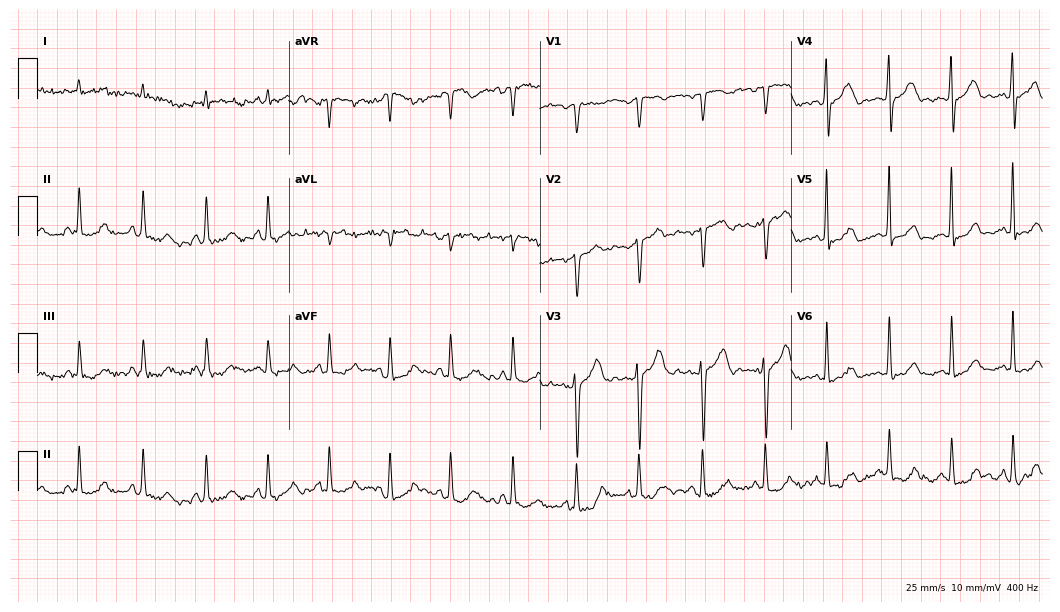
12-lead ECG (10.2-second recording at 400 Hz) from a 49-year-old man. Screened for six findings — first-degree AV block, right bundle branch block, left bundle branch block, sinus bradycardia, atrial fibrillation, sinus tachycardia — none is recorded. Other findings, if any, are not listed.